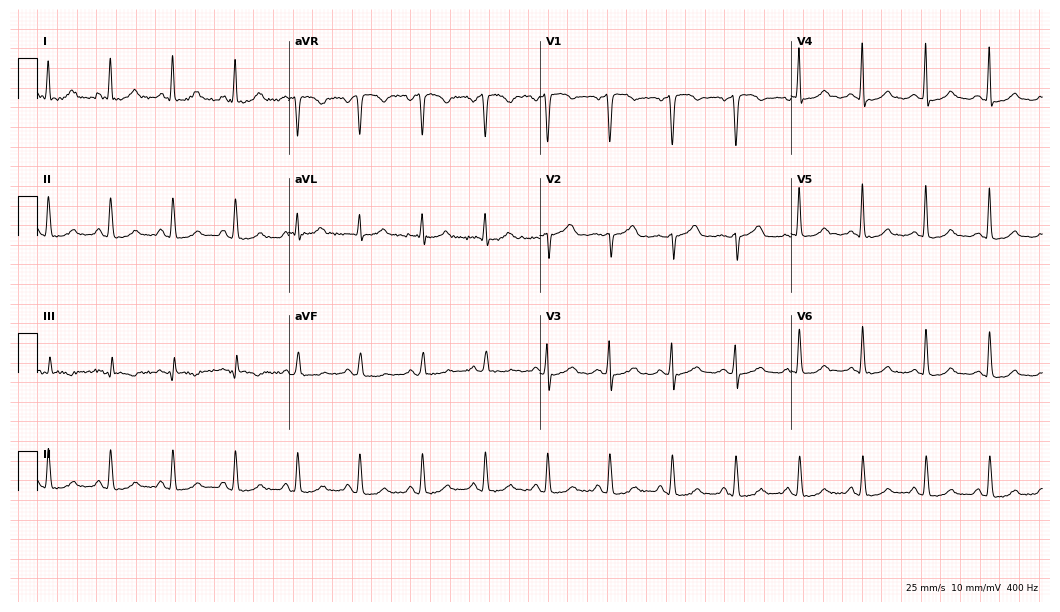
Electrocardiogram, a female patient, 44 years old. Overall reading on record: normal ECG.